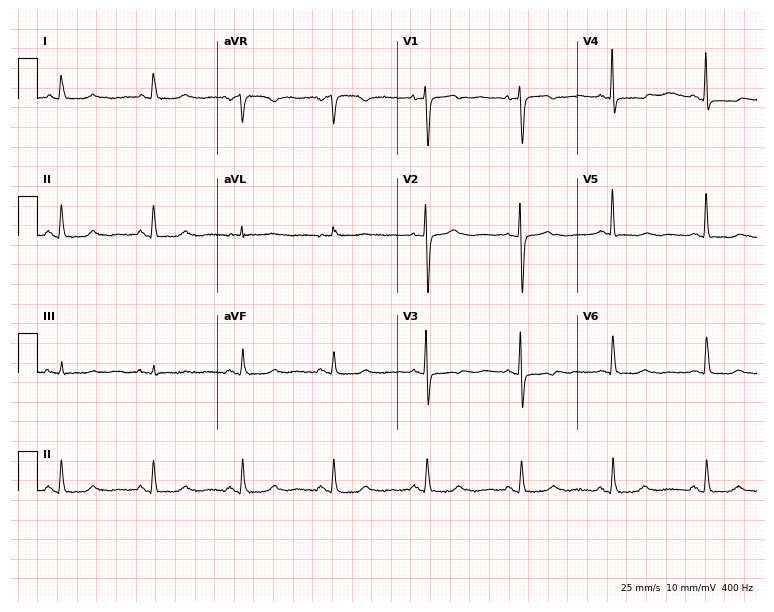
12-lead ECG from a 68-year-old female. No first-degree AV block, right bundle branch block, left bundle branch block, sinus bradycardia, atrial fibrillation or sinus tachycardia recorded for this tracing.